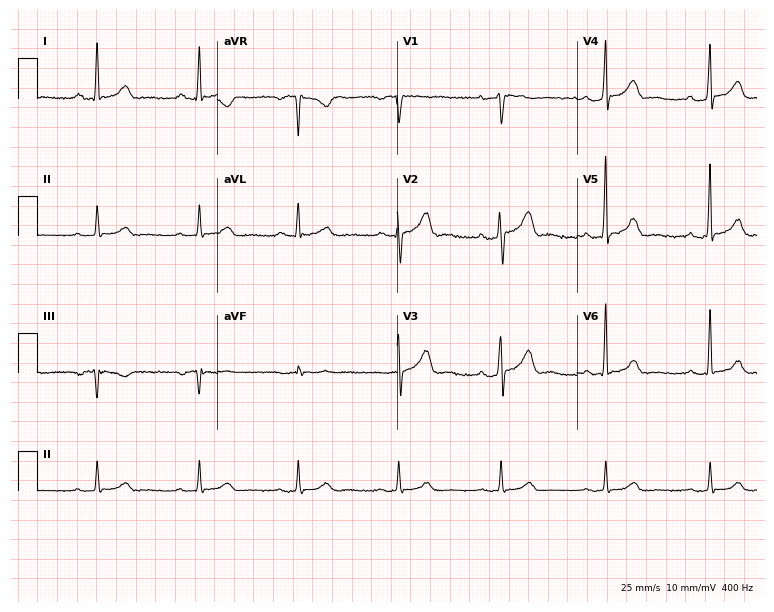
ECG (7.3-second recording at 400 Hz) — a male patient, 47 years old. Labelled as a normal ECG.